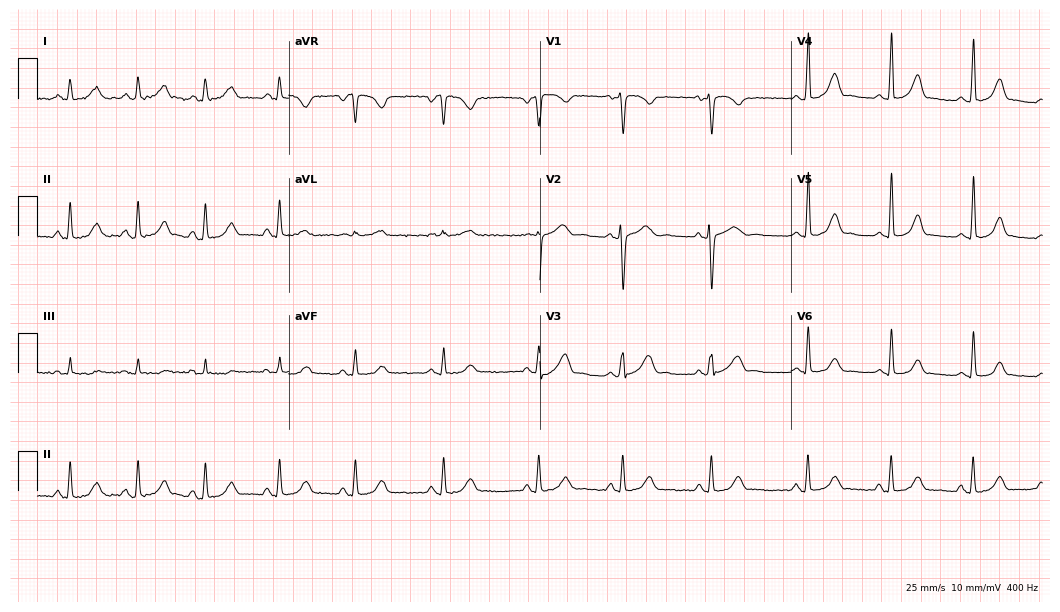
Resting 12-lead electrocardiogram (10.2-second recording at 400 Hz). Patient: a female, 31 years old. None of these six findings is recorded: first-degree AV block, right bundle branch block, left bundle branch block, sinus bradycardia, atrial fibrillation, sinus tachycardia.